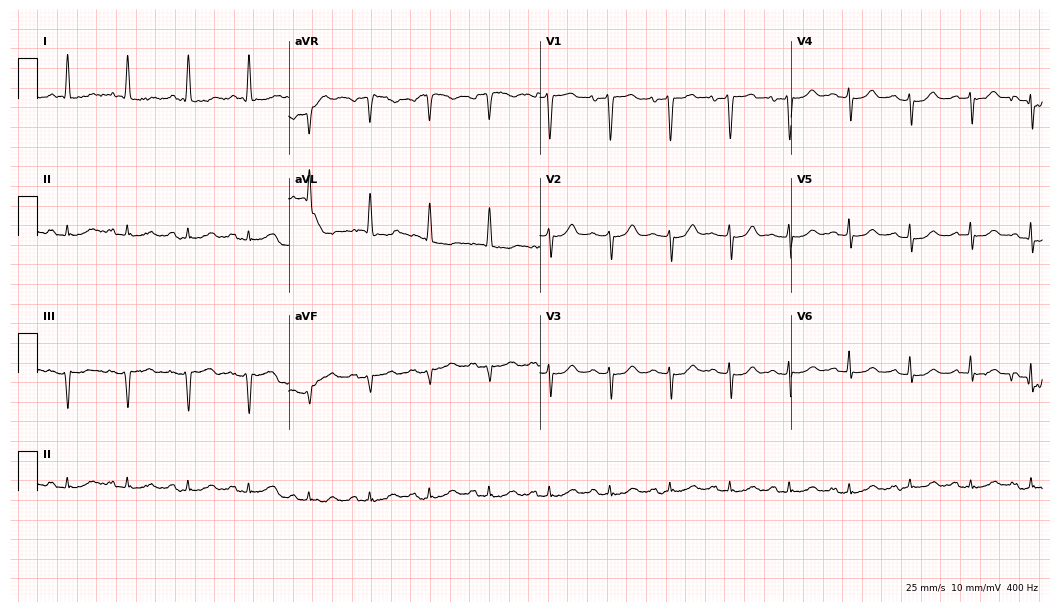
Standard 12-lead ECG recorded from a female, 85 years old. Read as a normal ECG.